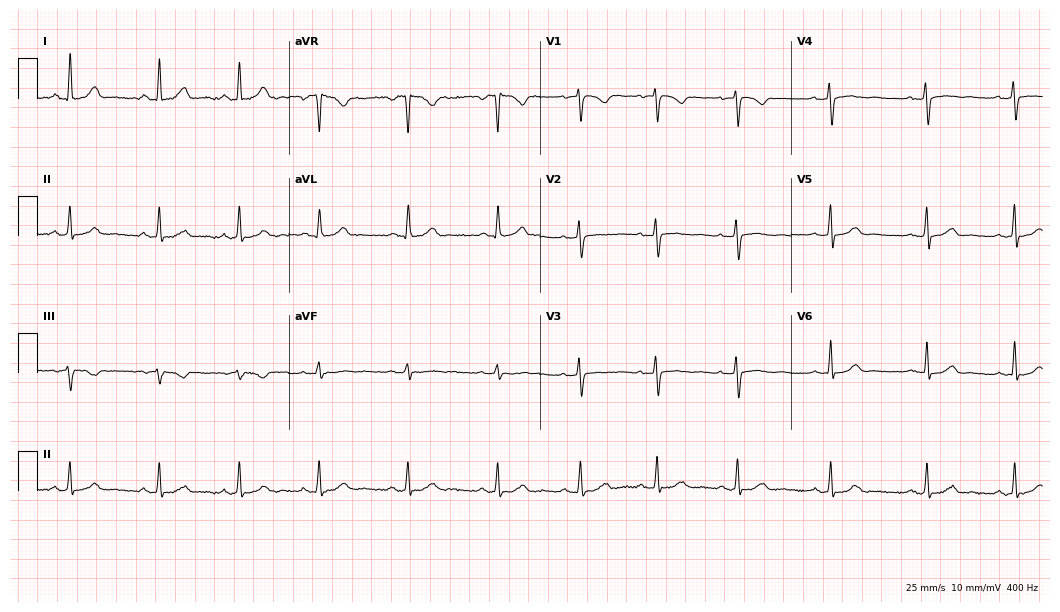
ECG — a 36-year-old female. Labelled as a normal ECG.